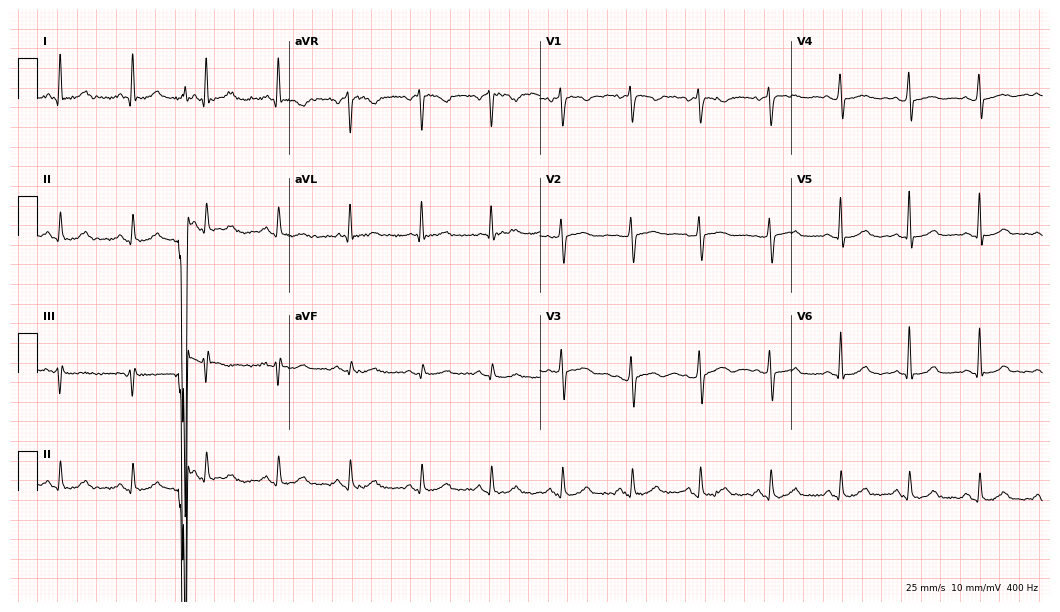
Electrocardiogram (10.2-second recording at 400 Hz), a 56-year-old woman. Of the six screened findings (first-degree AV block, right bundle branch block (RBBB), left bundle branch block (LBBB), sinus bradycardia, atrial fibrillation (AF), sinus tachycardia), none is recorded.